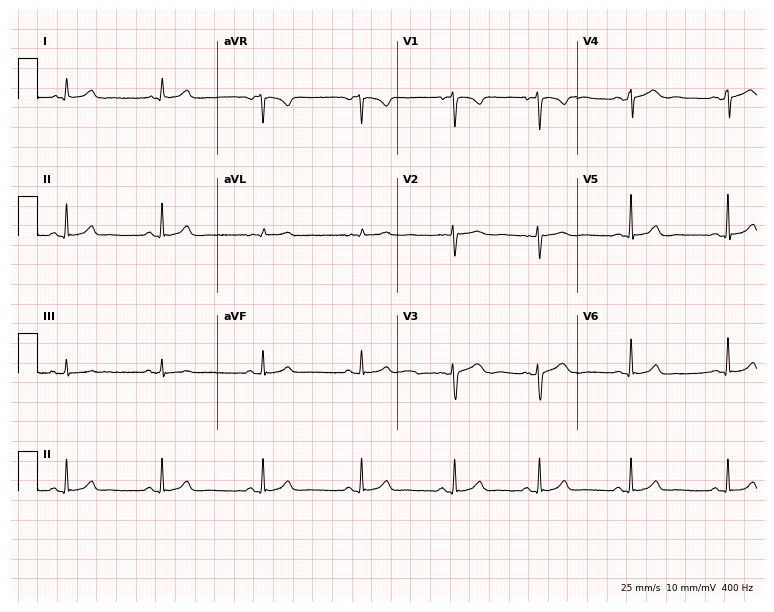
ECG — a 19-year-old female. Screened for six findings — first-degree AV block, right bundle branch block (RBBB), left bundle branch block (LBBB), sinus bradycardia, atrial fibrillation (AF), sinus tachycardia — none is recorded. Findings outside these six are not listed.